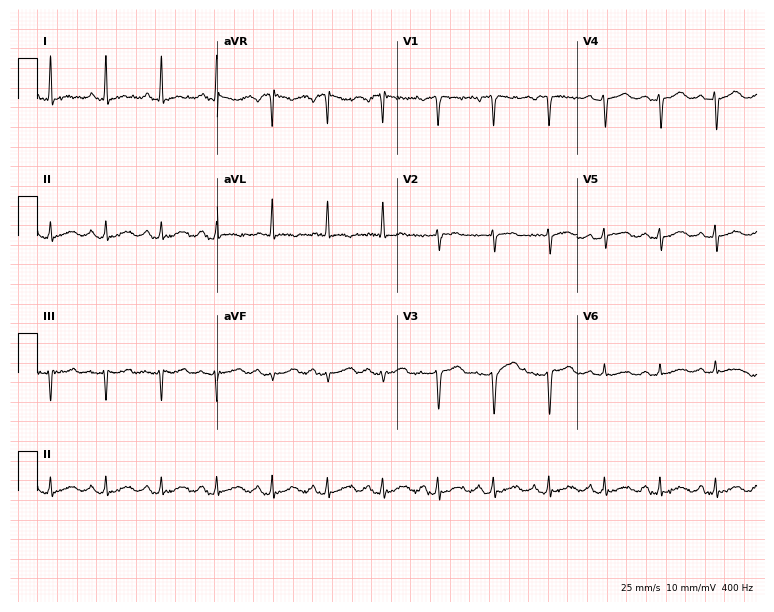
Electrocardiogram, a 49-year-old female. Interpretation includes sinus tachycardia (a sinus rate of 100 beats per minute or more).